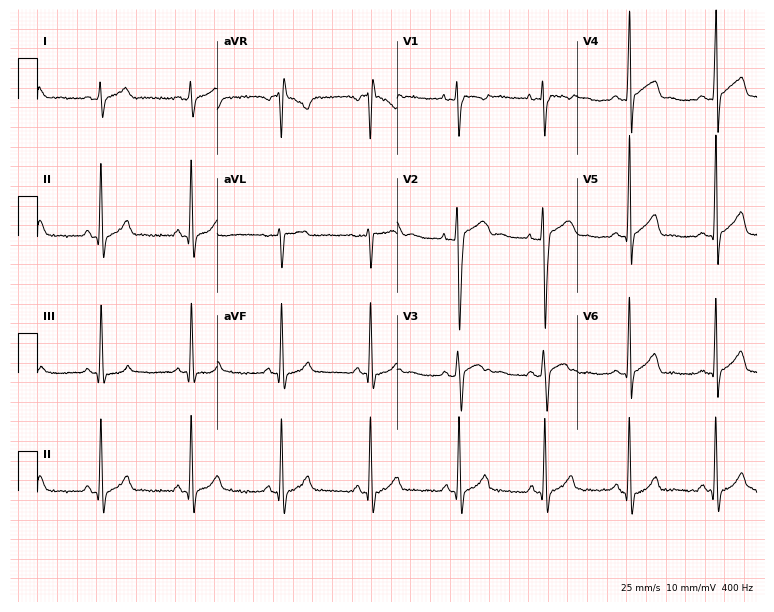
12-lead ECG from a 17-year-old male patient. Labelled as a normal ECG.